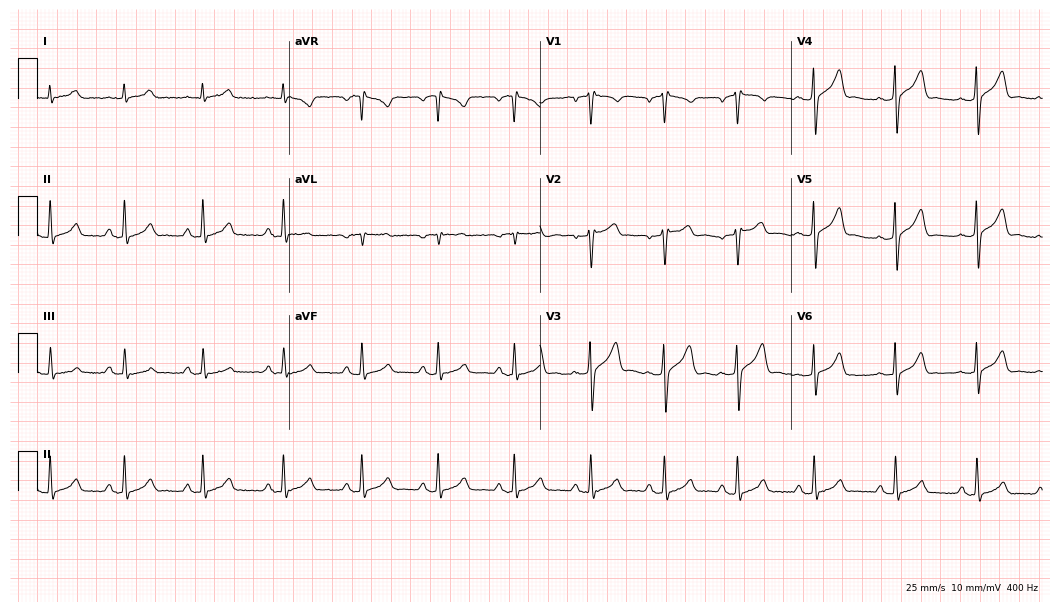
Electrocardiogram (10.2-second recording at 400 Hz), a male, 36 years old. Of the six screened findings (first-degree AV block, right bundle branch block, left bundle branch block, sinus bradycardia, atrial fibrillation, sinus tachycardia), none is recorded. Findings outside these six are not listed.